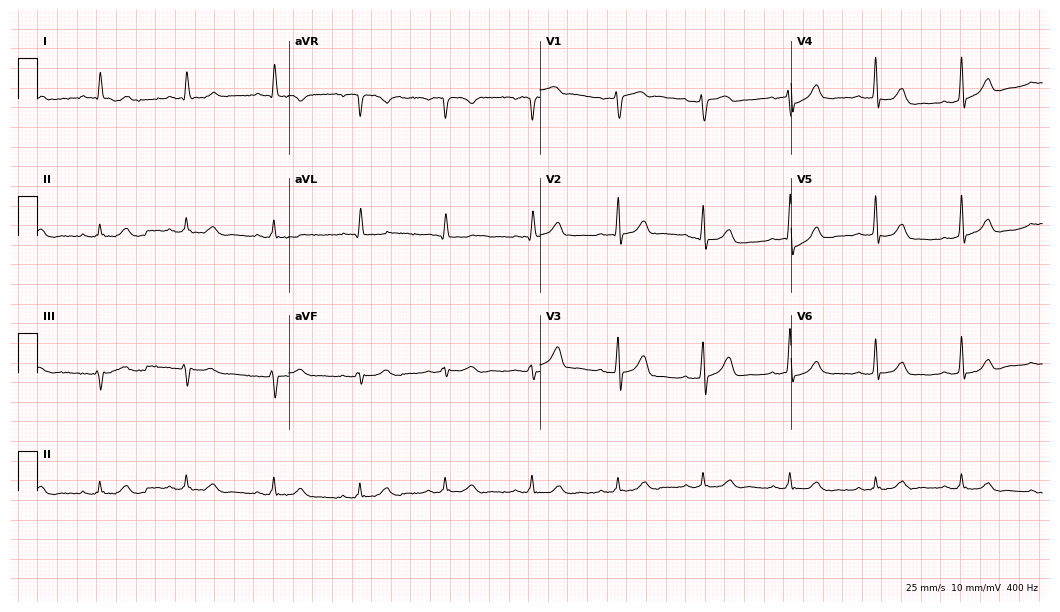
ECG (10.2-second recording at 400 Hz) — a male patient, 57 years old. Screened for six findings — first-degree AV block, right bundle branch block, left bundle branch block, sinus bradycardia, atrial fibrillation, sinus tachycardia — none is recorded.